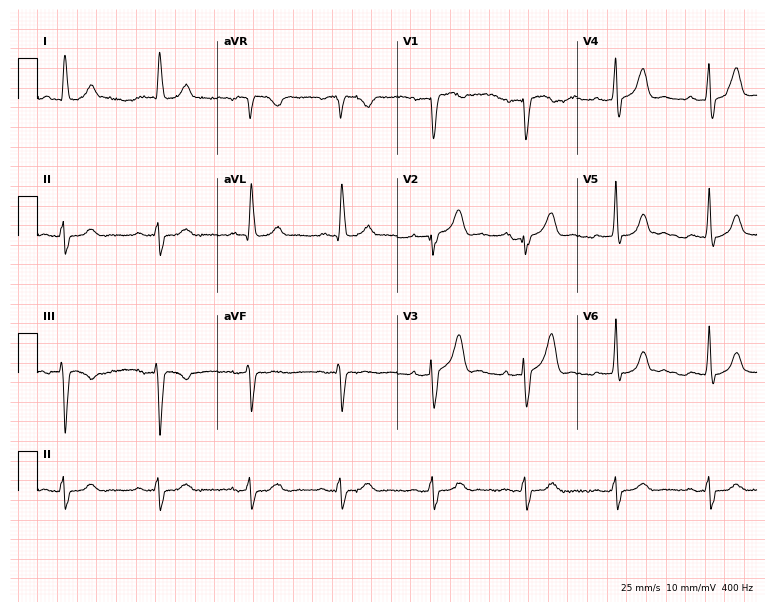
Standard 12-lead ECG recorded from a 77-year-old male. None of these six findings is recorded: first-degree AV block, right bundle branch block, left bundle branch block, sinus bradycardia, atrial fibrillation, sinus tachycardia. Findings outside these six are not listed.